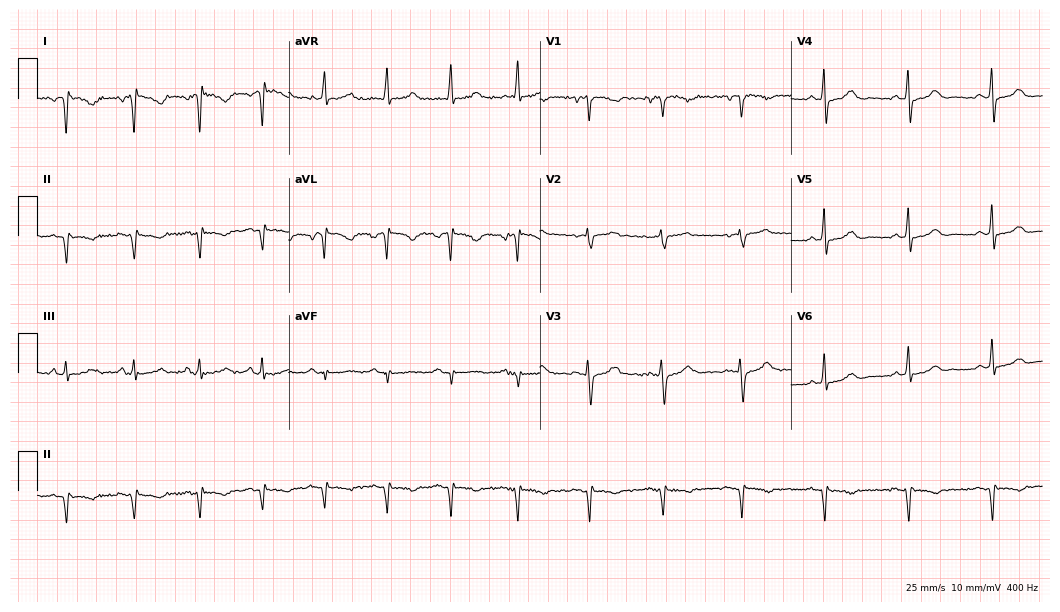
Resting 12-lead electrocardiogram (10.2-second recording at 400 Hz). Patient: a woman, 65 years old. Read as a normal ECG.